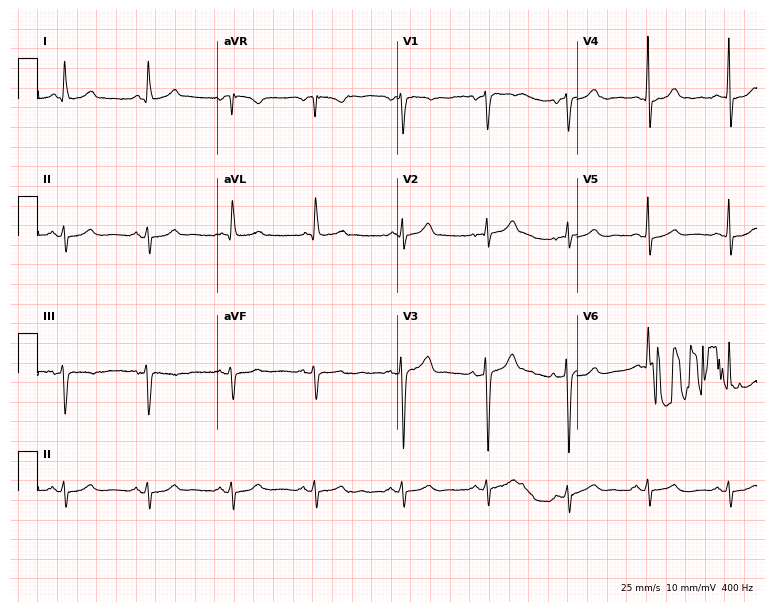
12-lead ECG (7.3-second recording at 400 Hz) from a 71-year-old female. Screened for six findings — first-degree AV block, right bundle branch block, left bundle branch block, sinus bradycardia, atrial fibrillation, sinus tachycardia — none is recorded.